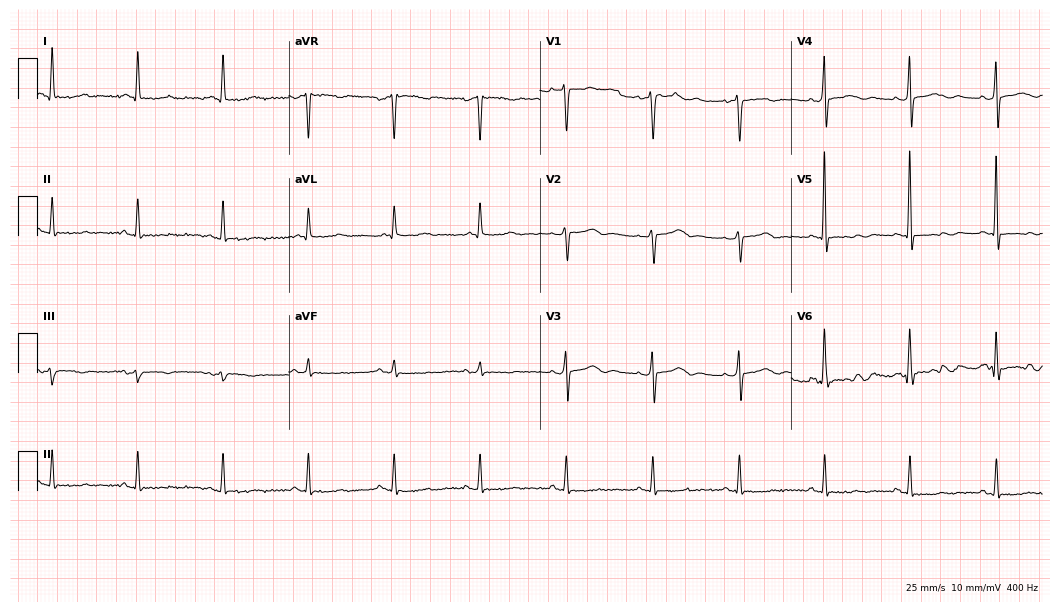
12-lead ECG (10.2-second recording at 400 Hz) from an 80-year-old female patient. Screened for six findings — first-degree AV block, right bundle branch block (RBBB), left bundle branch block (LBBB), sinus bradycardia, atrial fibrillation (AF), sinus tachycardia — none is recorded. Only these six findings were labelled.